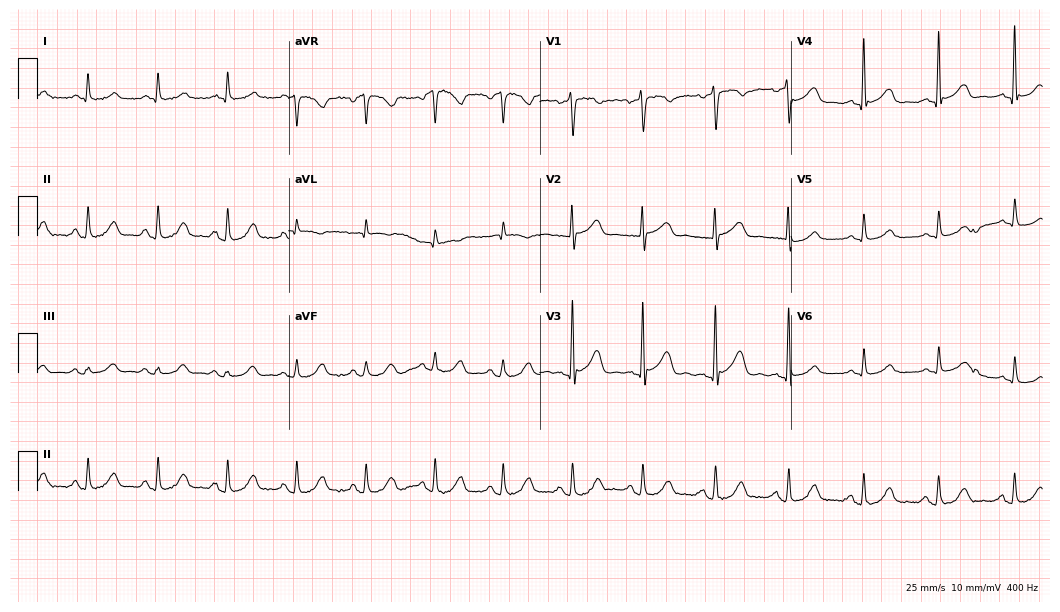
Resting 12-lead electrocardiogram. Patient: a male, 68 years old. Read as a normal ECG.